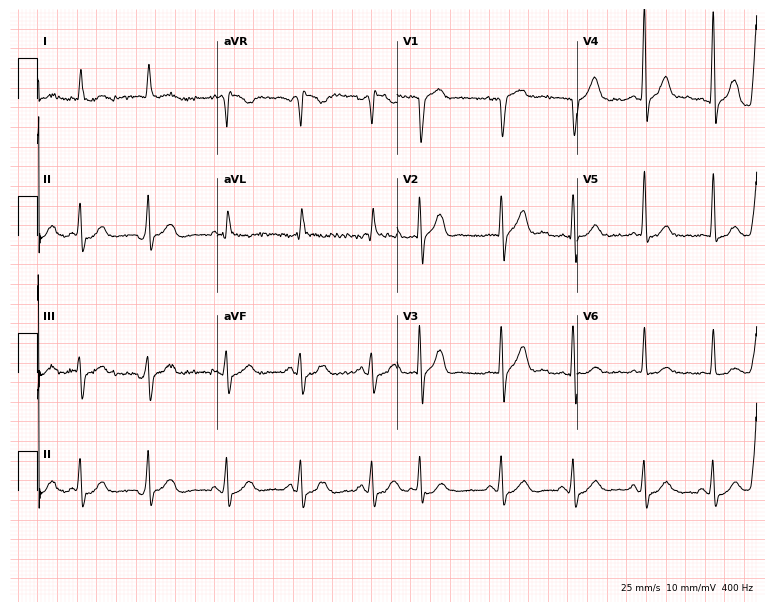
12-lead ECG (7.3-second recording at 400 Hz) from an 84-year-old man. Screened for six findings — first-degree AV block, right bundle branch block, left bundle branch block, sinus bradycardia, atrial fibrillation, sinus tachycardia — none is recorded. Findings outside these six are not listed.